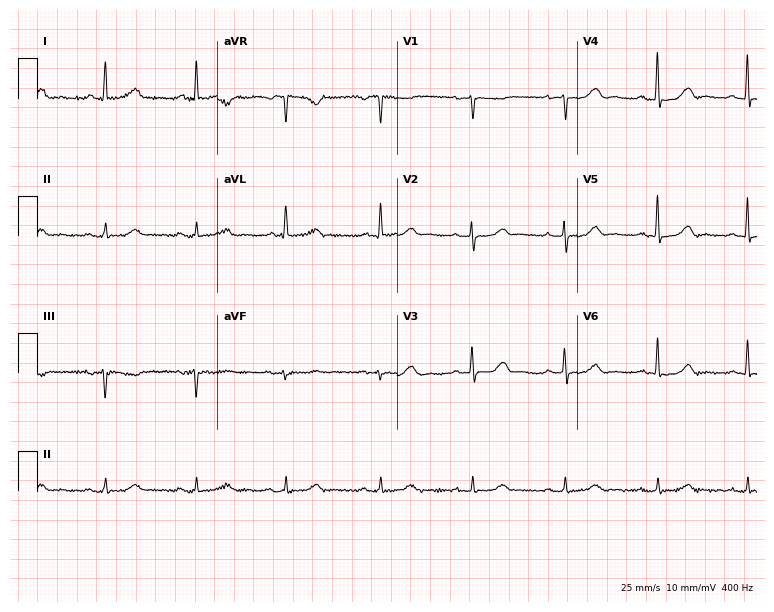
12-lead ECG (7.3-second recording at 400 Hz) from a 68-year-old female. Labelled as a normal ECG.